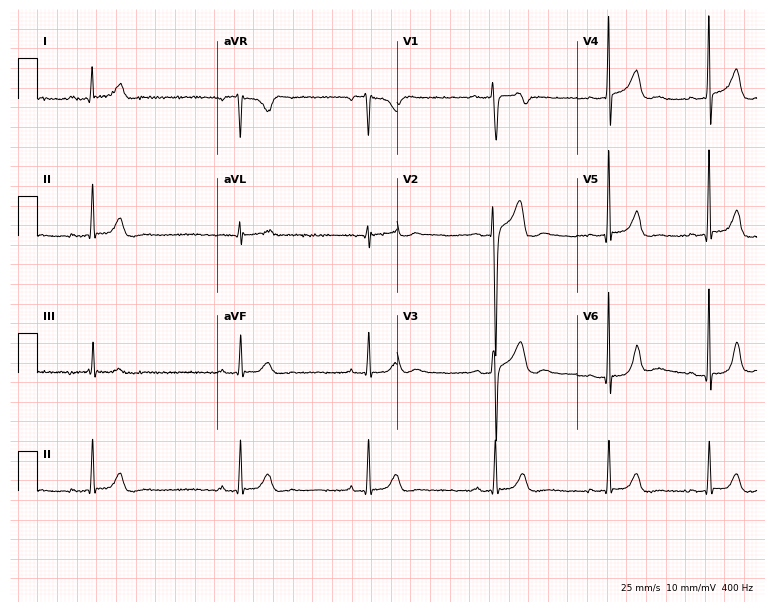
12-lead ECG from a 26-year-old male. No first-degree AV block, right bundle branch block, left bundle branch block, sinus bradycardia, atrial fibrillation or sinus tachycardia recorded for this tracing.